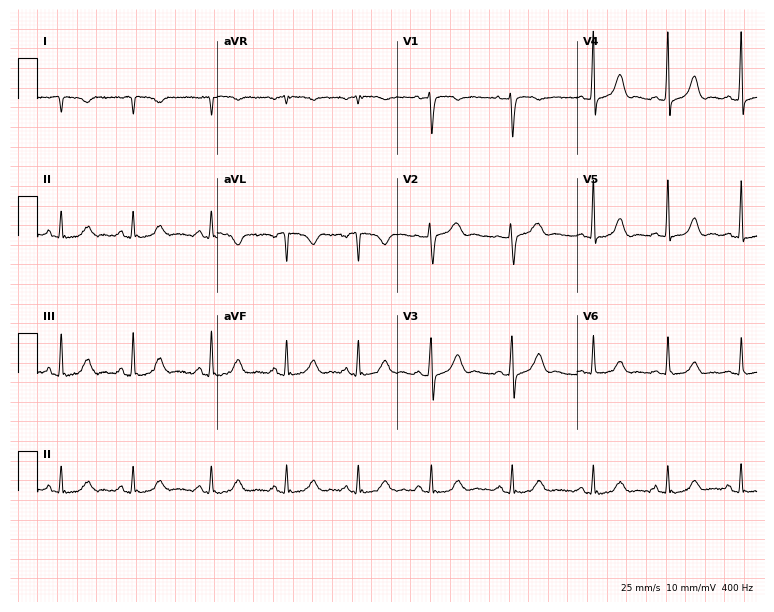
Electrocardiogram (7.3-second recording at 400 Hz), a 35-year-old female patient. Of the six screened findings (first-degree AV block, right bundle branch block (RBBB), left bundle branch block (LBBB), sinus bradycardia, atrial fibrillation (AF), sinus tachycardia), none is recorded.